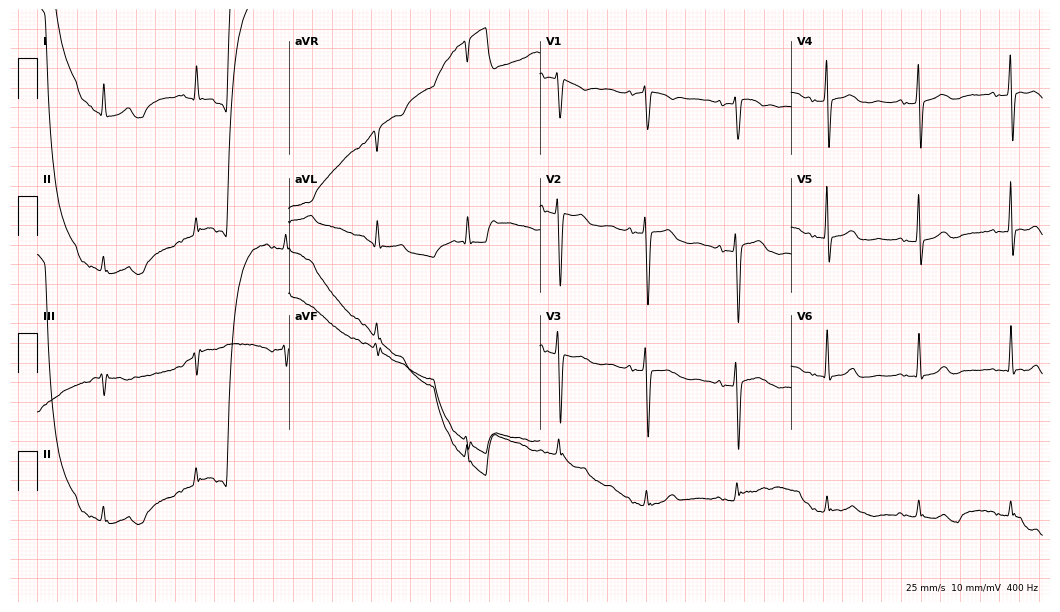
ECG — an 82-year-old female. Screened for six findings — first-degree AV block, right bundle branch block, left bundle branch block, sinus bradycardia, atrial fibrillation, sinus tachycardia — none is recorded.